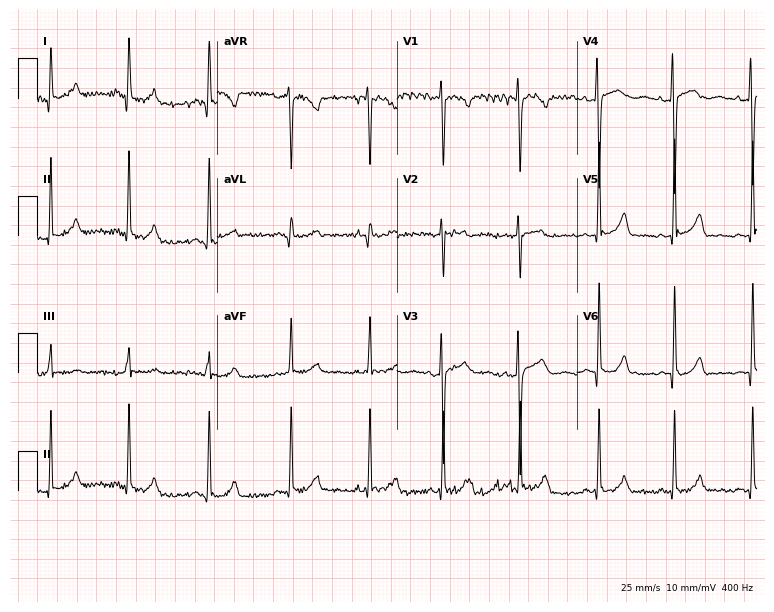
12-lead ECG from a female, 31 years old (7.3-second recording at 400 Hz). Recorded interpretation: within normal limits.